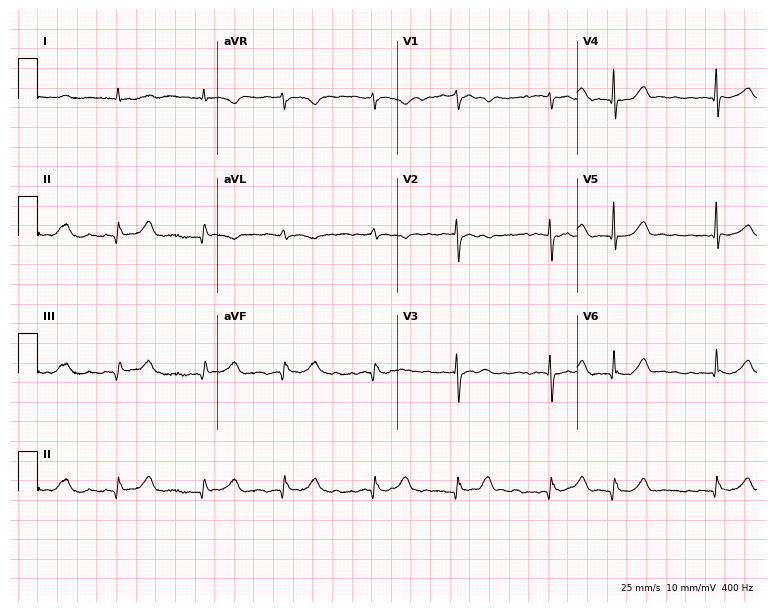
Resting 12-lead electrocardiogram. Patient: a female, 77 years old. None of these six findings is recorded: first-degree AV block, right bundle branch block (RBBB), left bundle branch block (LBBB), sinus bradycardia, atrial fibrillation (AF), sinus tachycardia. Other findings, if any, are not listed.